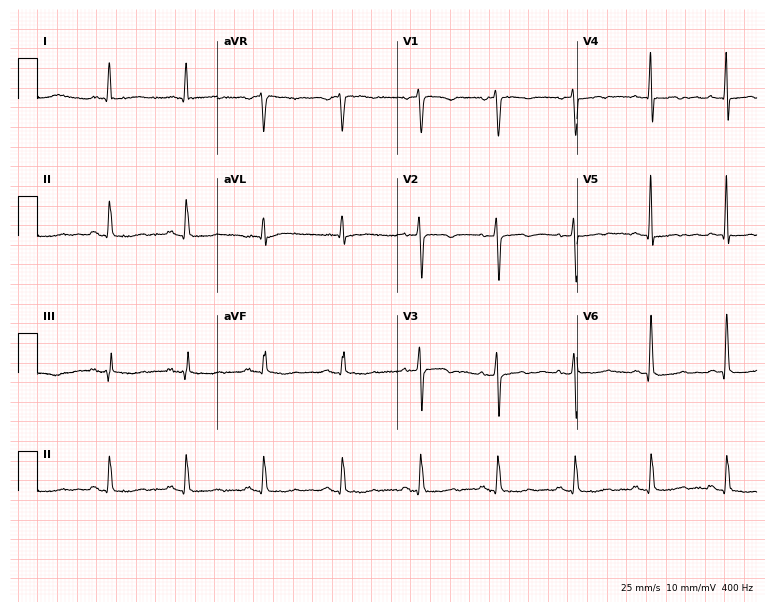
12-lead ECG (7.3-second recording at 400 Hz) from a female patient, 79 years old. Screened for six findings — first-degree AV block, right bundle branch block (RBBB), left bundle branch block (LBBB), sinus bradycardia, atrial fibrillation (AF), sinus tachycardia — none is recorded. Findings outside these six are not listed.